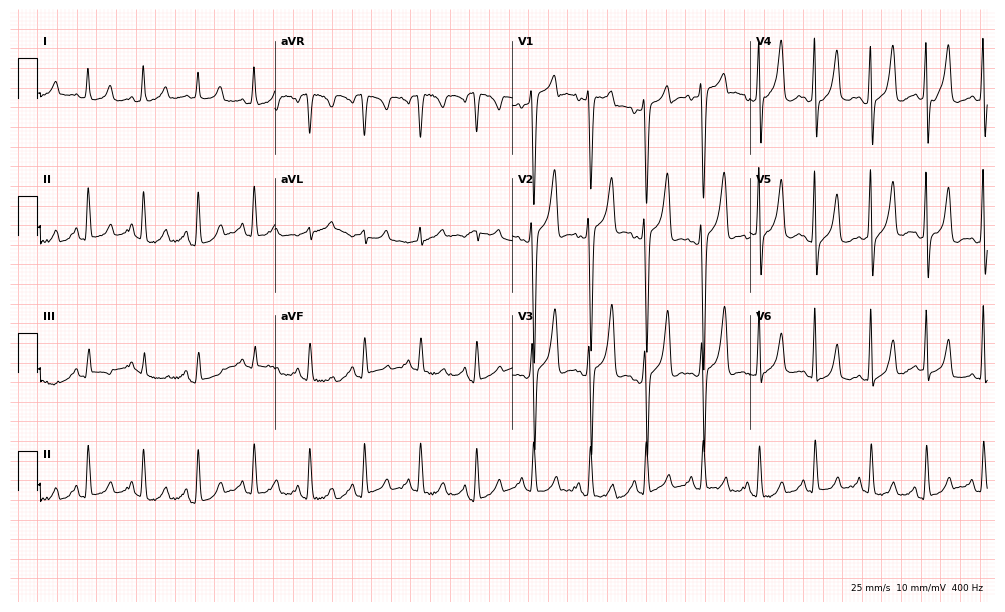
12-lead ECG from a woman, 37 years old. Screened for six findings — first-degree AV block, right bundle branch block, left bundle branch block, sinus bradycardia, atrial fibrillation, sinus tachycardia — none is recorded. Only these six findings were labelled.